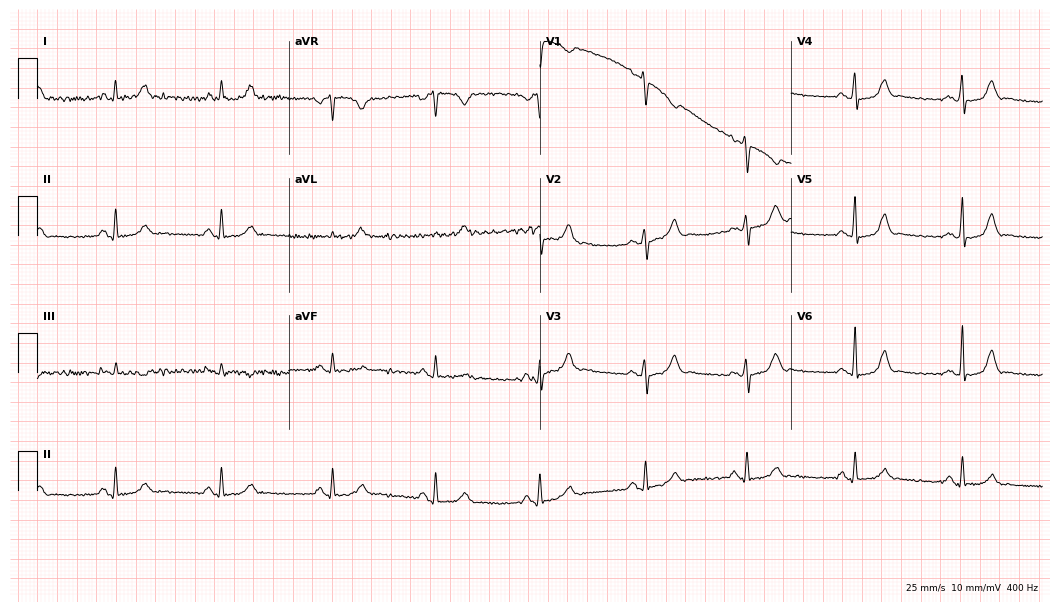
Electrocardiogram (10.2-second recording at 400 Hz), a female patient, 35 years old. Of the six screened findings (first-degree AV block, right bundle branch block, left bundle branch block, sinus bradycardia, atrial fibrillation, sinus tachycardia), none is recorded. Findings outside these six are not listed.